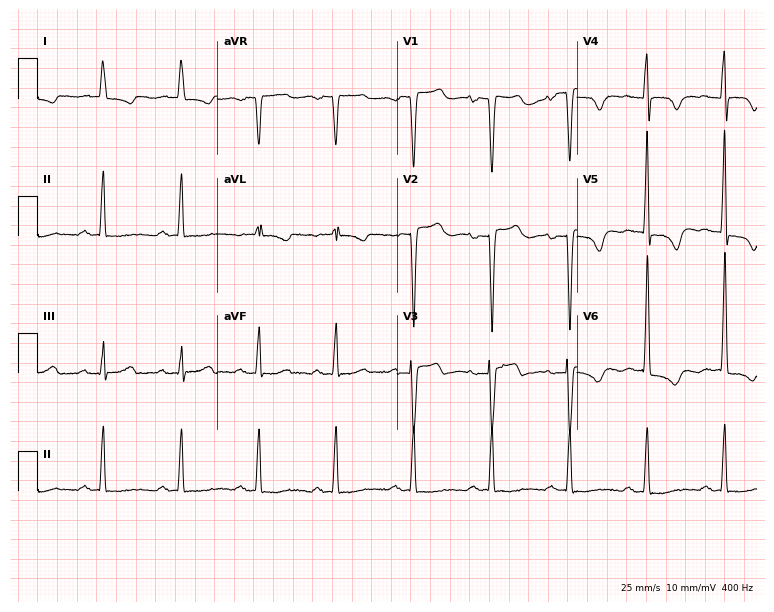
ECG (7.3-second recording at 400 Hz) — an 80-year-old female patient. Screened for six findings — first-degree AV block, right bundle branch block, left bundle branch block, sinus bradycardia, atrial fibrillation, sinus tachycardia — none is recorded.